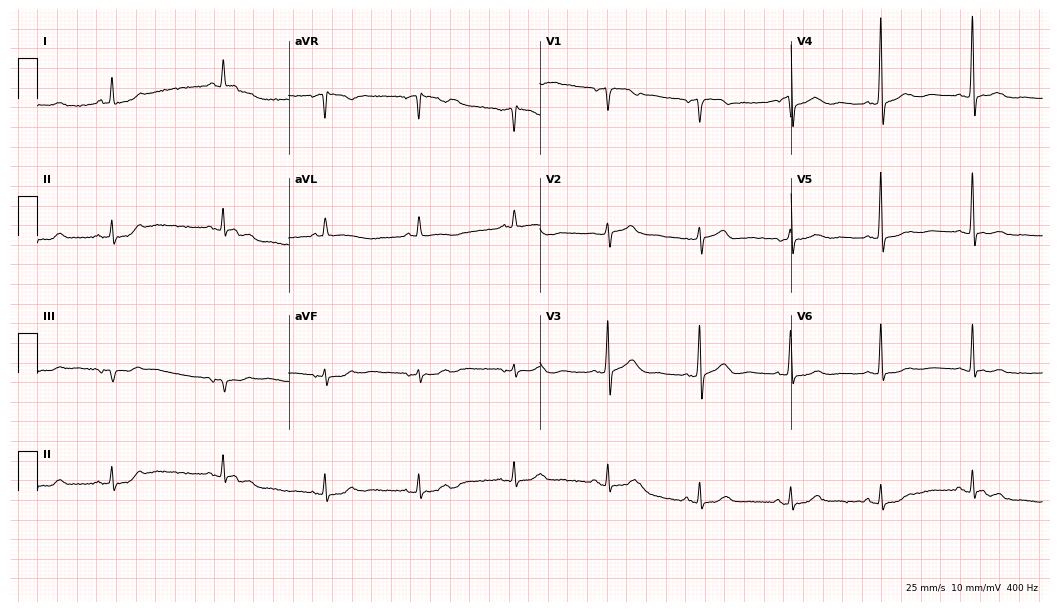
12-lead ECG from a man, 84 years old. Screened for six findings — first-degree AV block, right bundle branch block (RBBB), left bundle branch block (LBBB), sinus bradycardia, atrial fibrillation (AF), sinus tachycardia — none is recorded. Other findings, if any, are not listed.